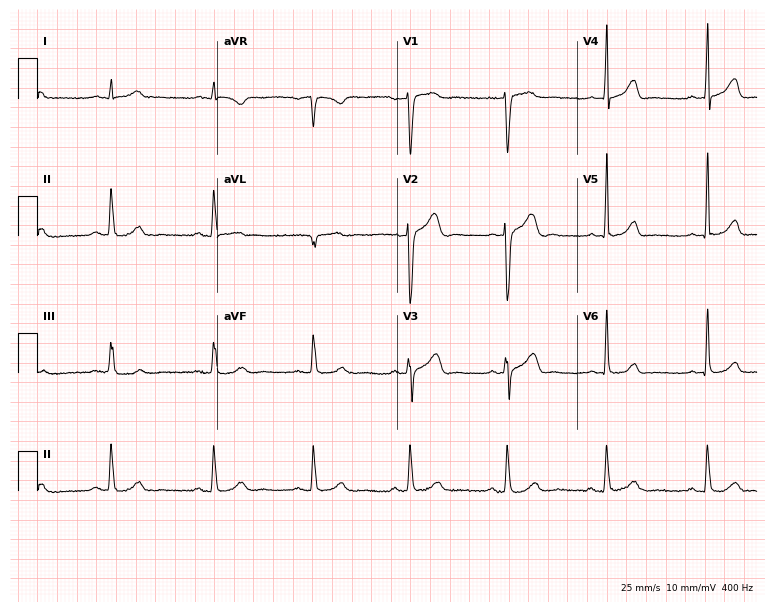
Resting 12-lead electrocardiogram. Patient: a woman, 38 years old. Read as a normal ECG.